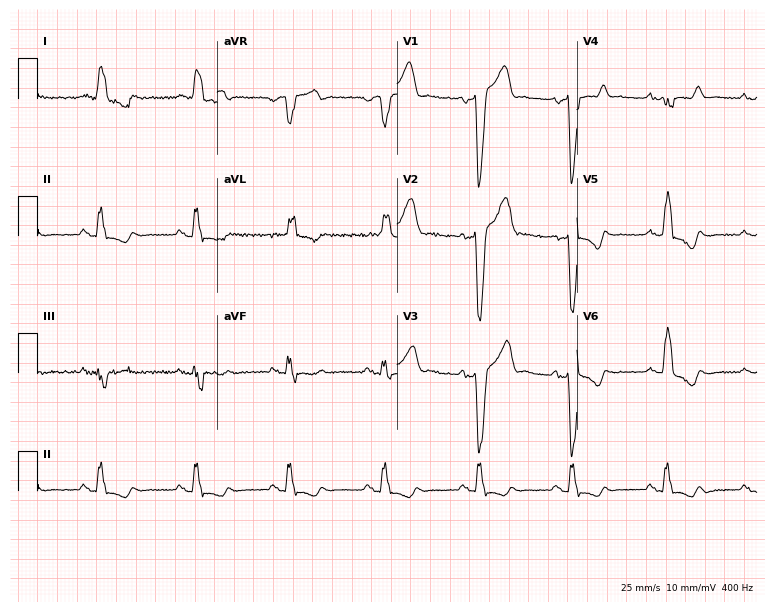
12-lead ECG from a man, 66 years old. Shows left bundle branch block (LBBB).